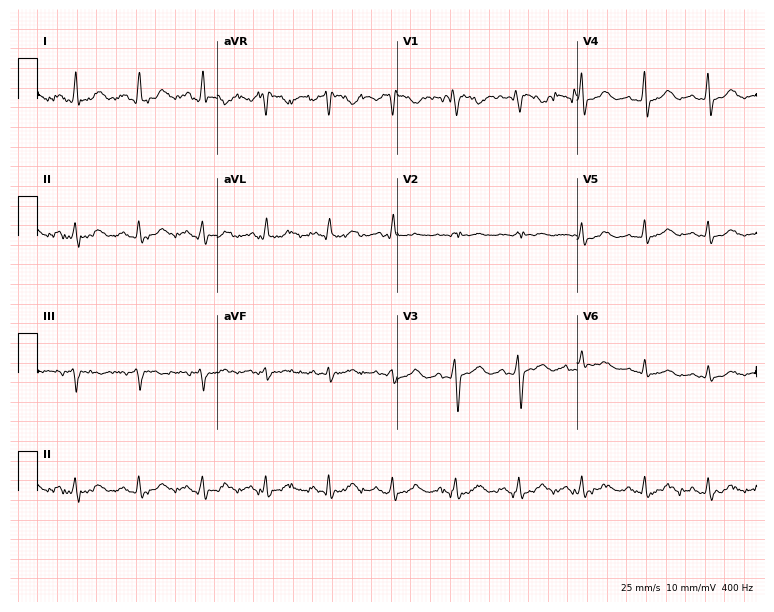
Resting 12-lead electrocardiogram (7.3-second recording at 400 Hz). Patient: a female, 48 years old. None of these six findings is recorded: first-degree AV block, right bundle branch block, left bundle branch block, sinus bradycardia, atrial fibrillation, sinus tachycardia.